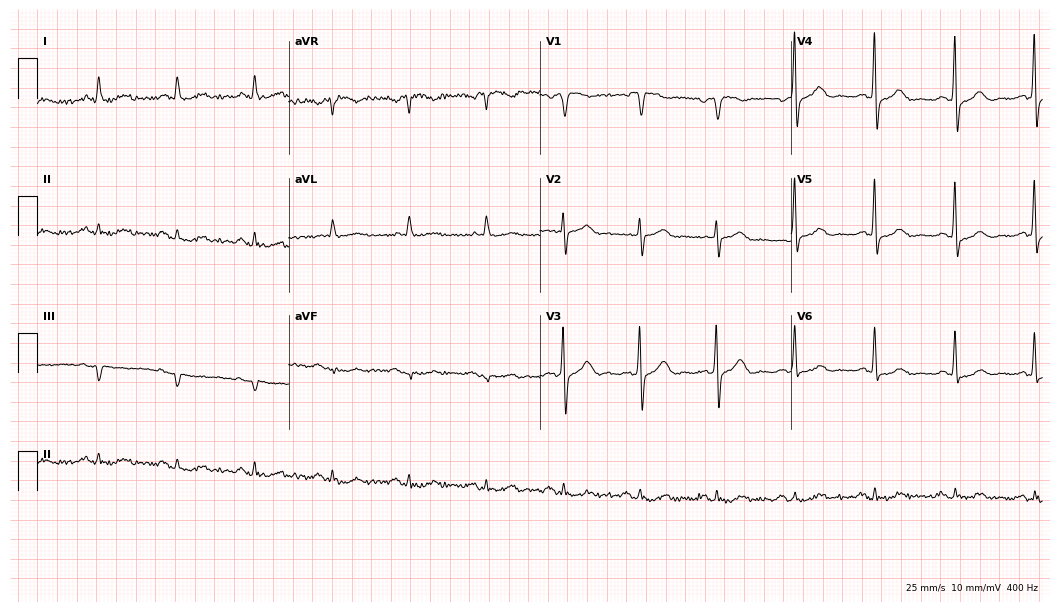
12-lead ECG (10.2-second recording at 400 Hz) from a male, 85 years old. Labelled as a normal ECG.